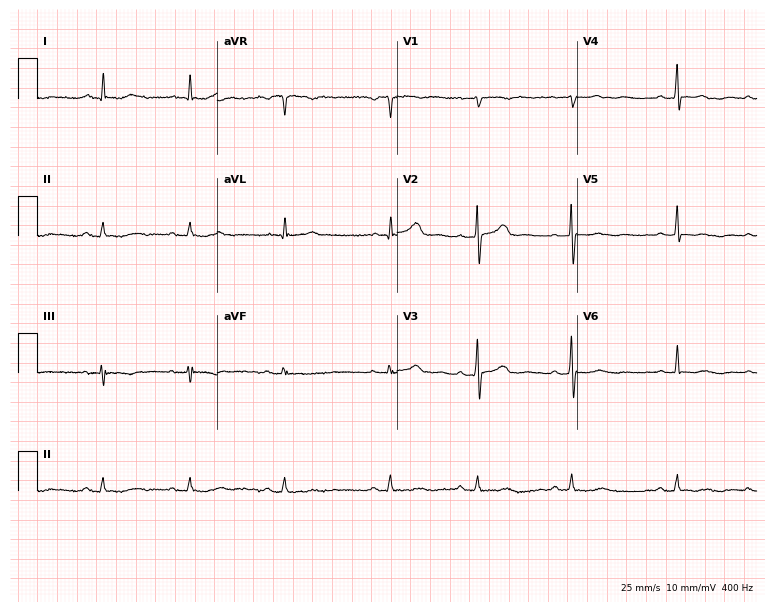
Resting 12-lead electrocardiogram. Patient: a female, 53 years old. Read as a normal ECG.